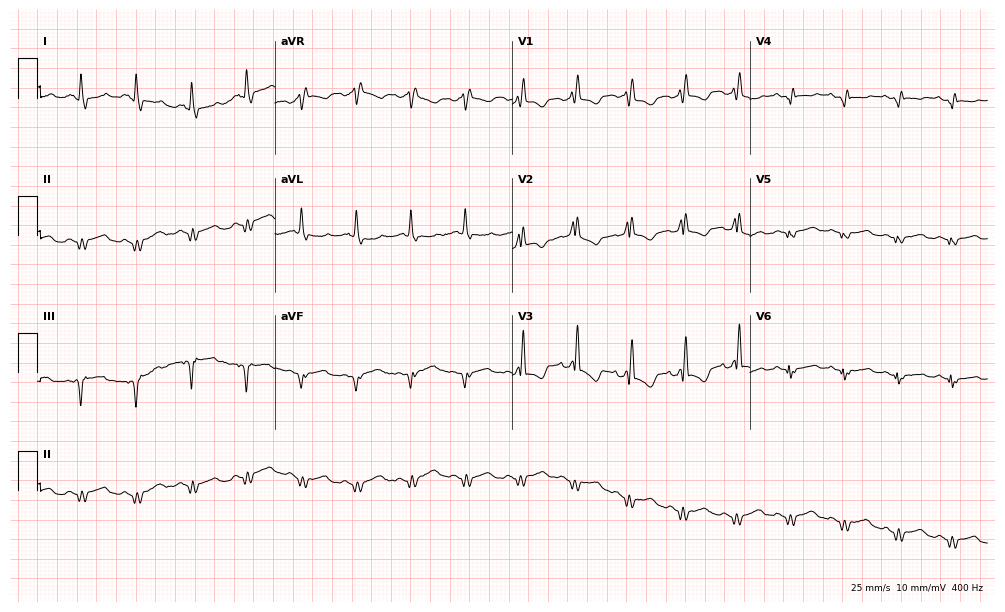
12-lead ECG from a female patient, 83 years old (9.7-second recording at 400 Hz). No first-degree AV block, right bundle branch block, left bundle branch block, sinus bradycardia, atrial fibrillation or sinus tachycardia recorded for this tracing.